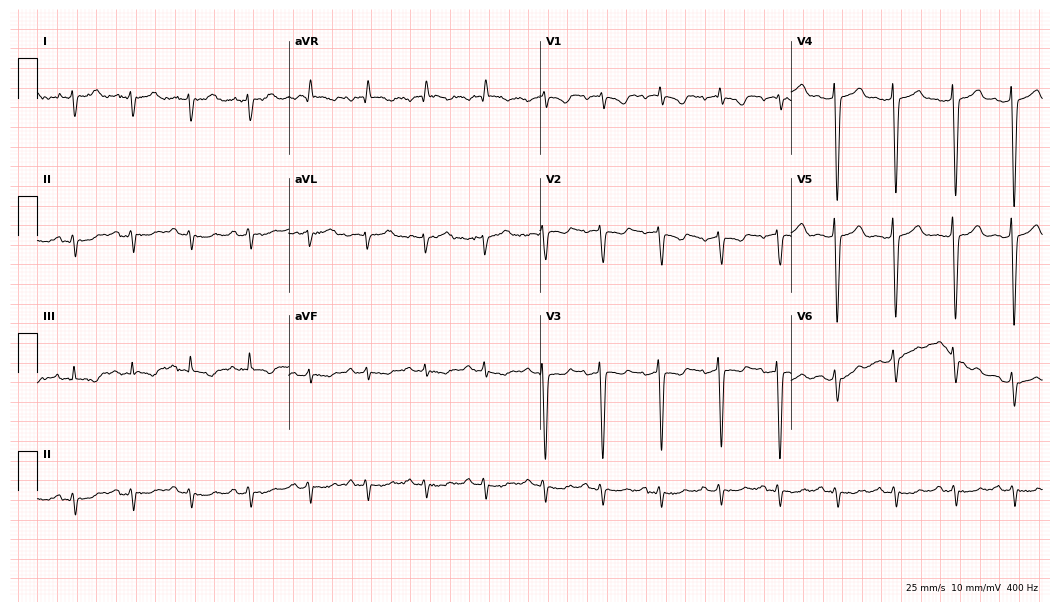
Standard 12-lead ECG recorded from a man, 80 years old (10.2-second recording at 400 Hz). None of these six findings is recorded: first-degree AV block, right bundle branch block (RBBB), left bundle branch block (LBBB), sinus bradycardia, atrial fibrillation (AF), sinus tachycardia.